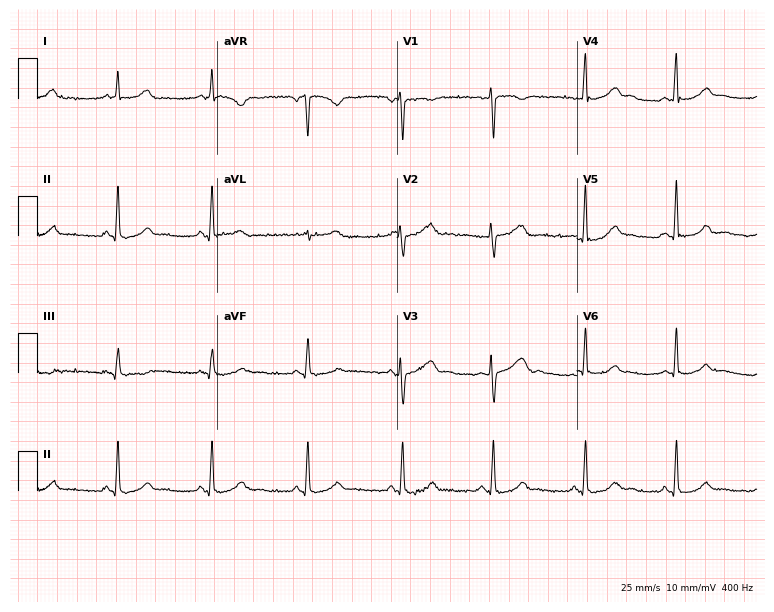
Electrocardiogram, a 46-year-old female patient. Of the six screened findings (first-degree AV block, right bundle branch block, left bundle branch block, sinus bradycardia, atrial fibrillation, sinus tachycardia), none is recorded. Only these six findings were labelled.